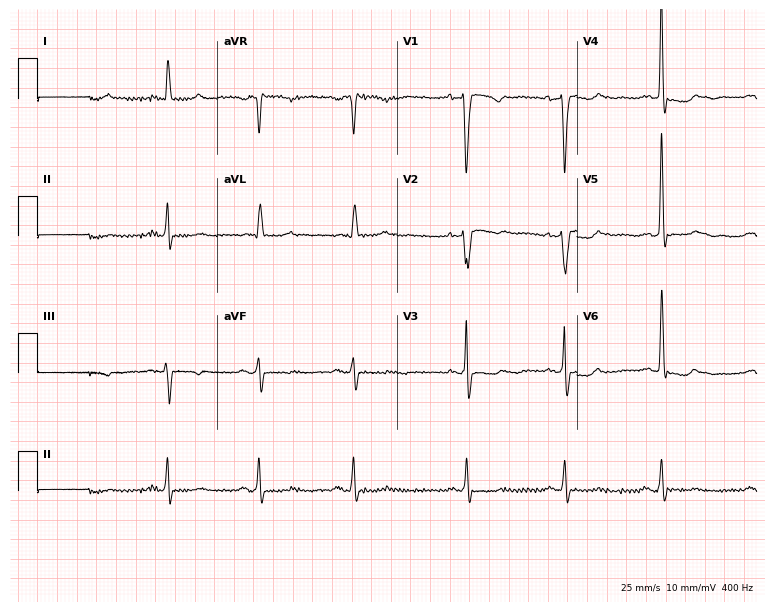
12-lead ECG from a female patient, 72 years old. Screened for six findings — first-degree AV block, right bundle branch block, left bundle branch block, sinus bradycardia, atrial fibrillation, sinus tachycardia — none is recorded. Only these six findings were labelled.